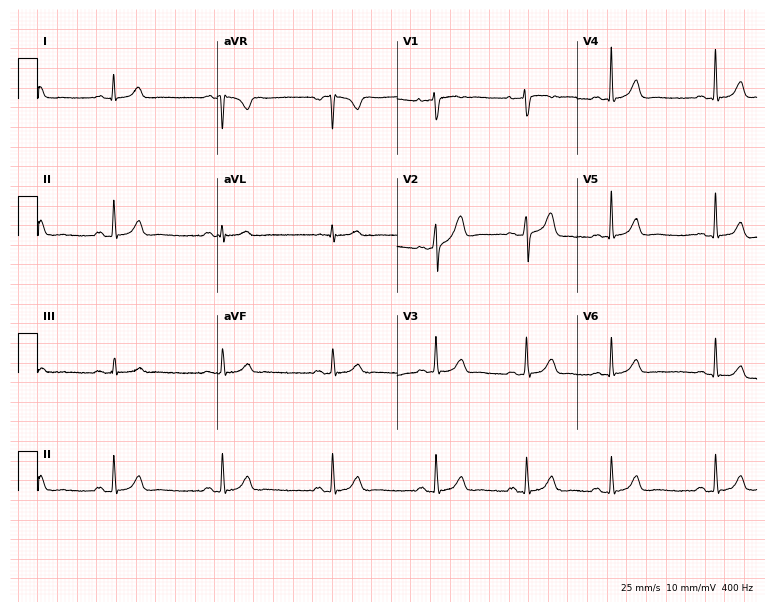
ECG (7.3-second recording at 400 Hz) — a 37-year-old female. Labelled as a normal ECG.